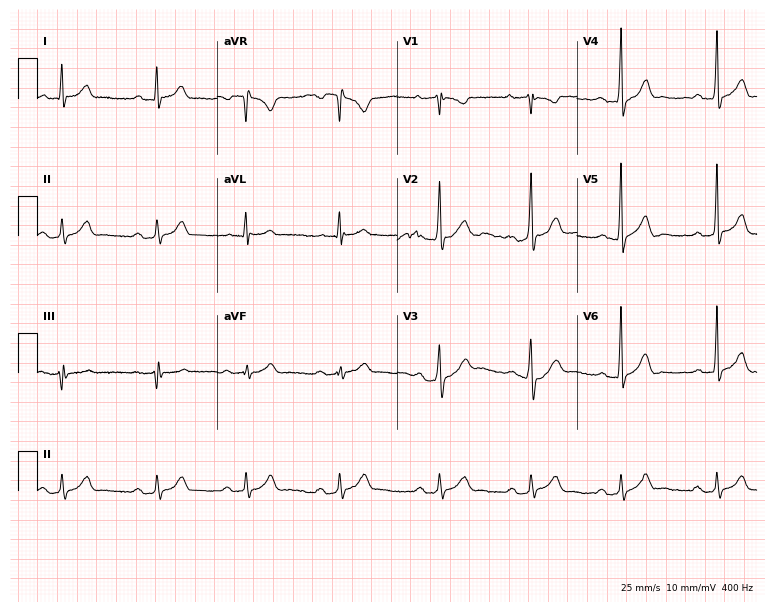
Electrocardiogram (7.3-second recording at 400 Hz), a male patient, 38 years old. Of the six screened findings (first-degree AV block, right bundle branch block, left bundle branch block, sinus bradycardia, atrial fibrillation, sinus tachycardia), none is recorded.